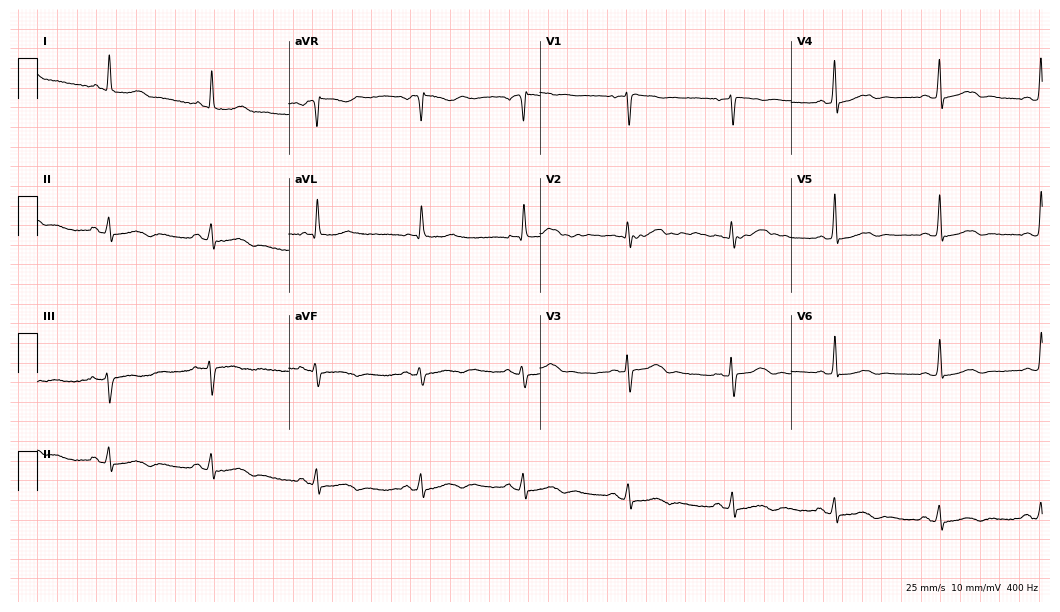
12-lead ECG from a 63-year-old female patient. Labelled as a normal ECG.